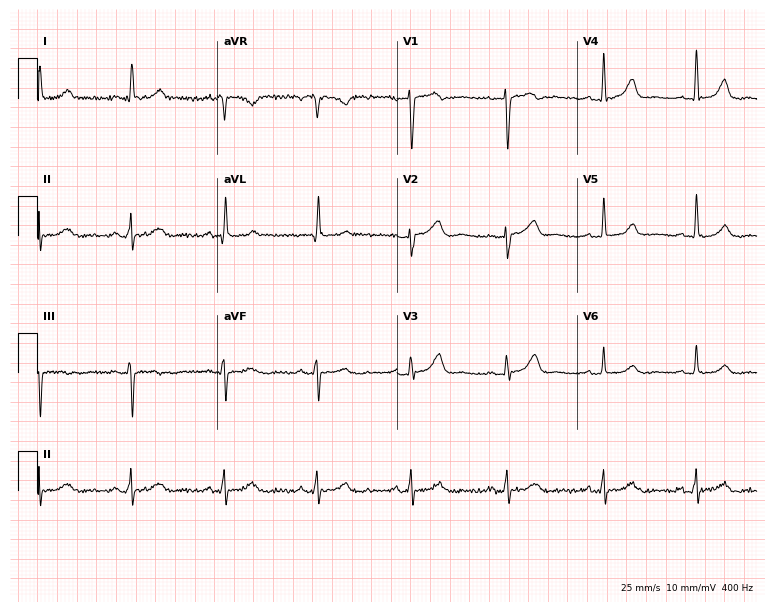
Resting 12-lead electrocardiogram. Patient: a female, 68 years old. None of these six findings is recorded: first-degree AV block, right bundle branch block, left bundle branch block, sinus bradycardia, atrial fibrillation, sinus tachycardia.